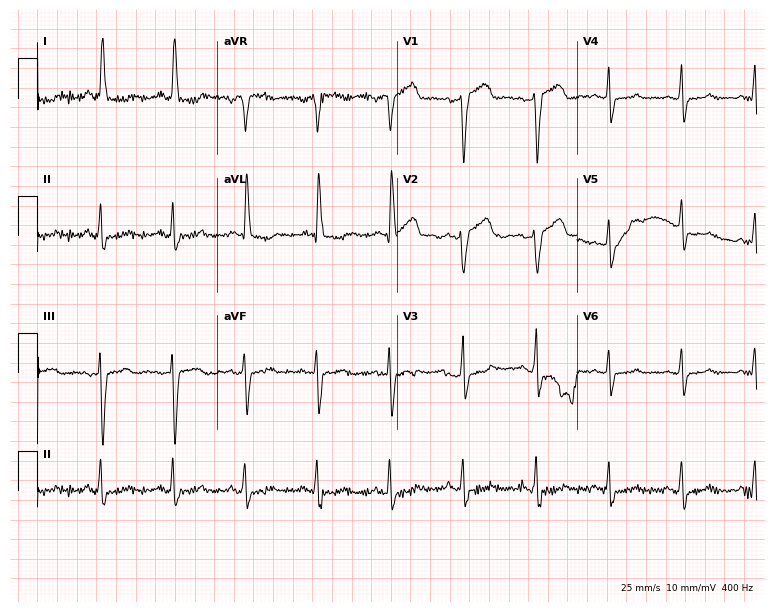
12-lead ECG (7.3-second recording at 400 Hz) from a female patient, 69 years old. Screened for six findings — first-degree AV block, right bundle branch block, left bundle branch block, sinus bradycardia, atrial fibrillation, sinus tachycardia — none is recorded. Only these six findings were labelled.